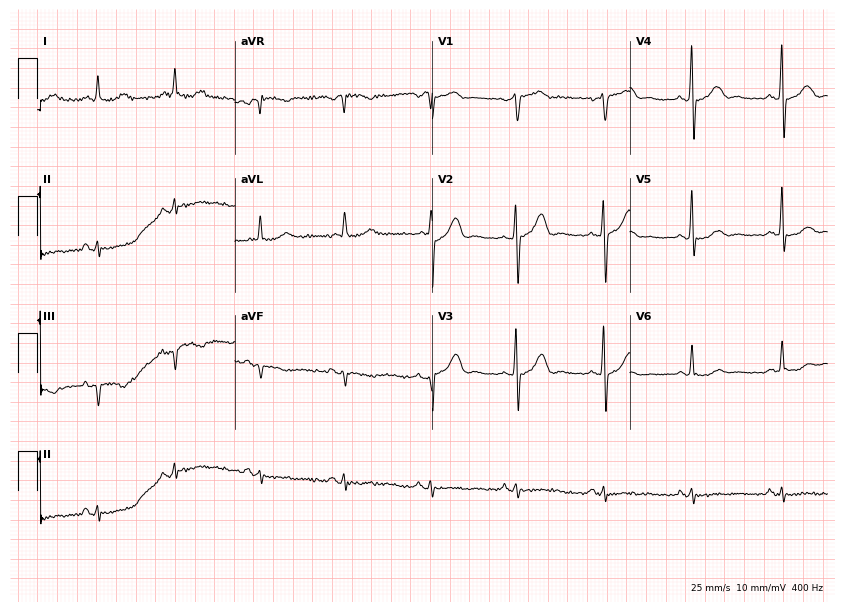
12-lead ECG from a male, 64 years old. No first-degree AV block, right bundle branch block, left bundle branch block, sinus bradycardia, atrial fibrillation or sinus tachycardia recorded for this tracing.